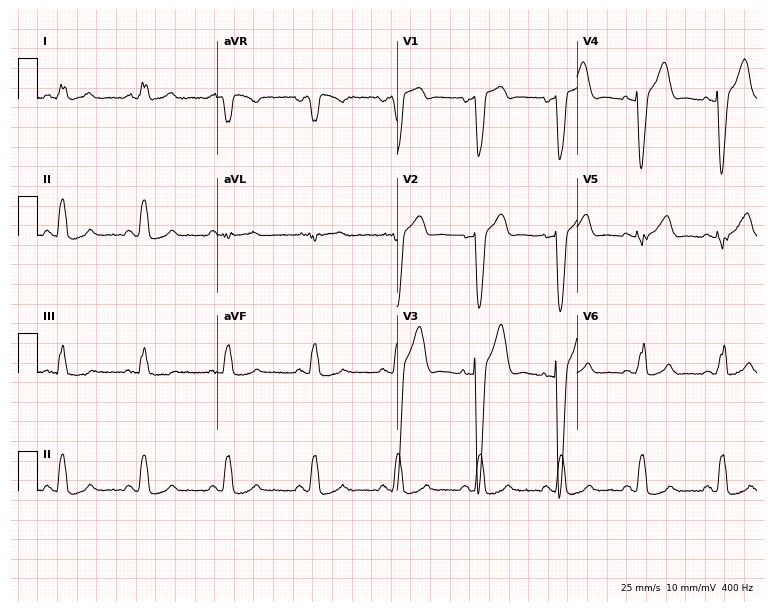
ECG (7.3-second recording at 400 Hz) — a man, 69 years old. Findings include left bundle branch block.